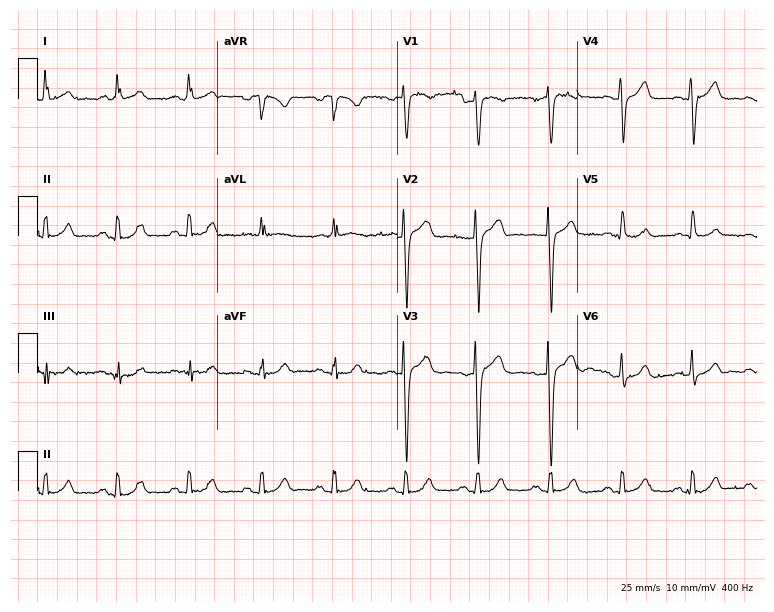
12-lead ECG from a female patient, 45 years old. Recorded interpretation: within normal limits.